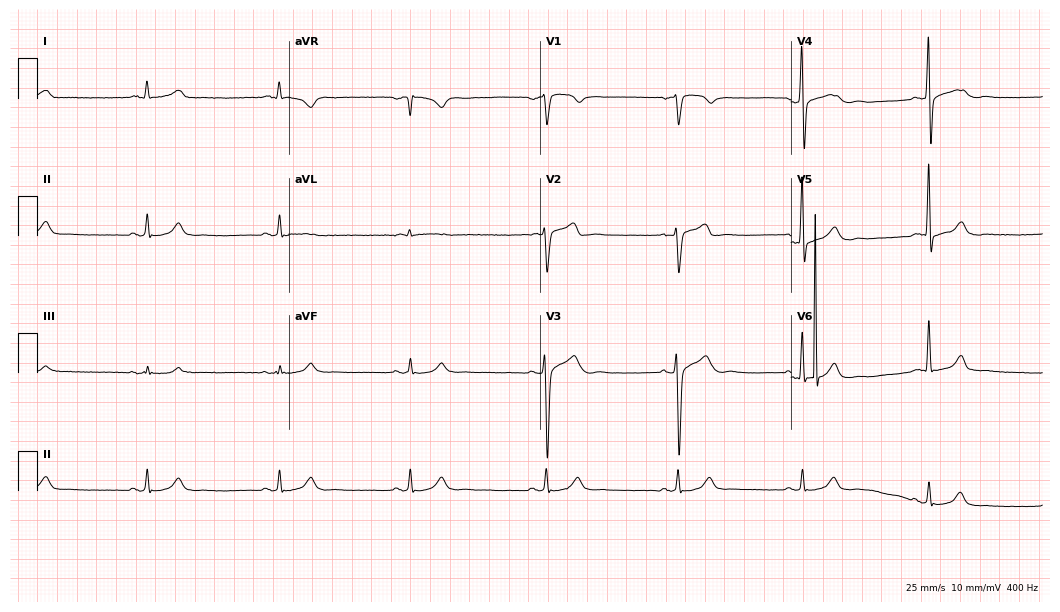
12-lead ECG from a man, 50 years old (10.2-second recording at 400 Hz). Recorded interpretation: within normal limits.